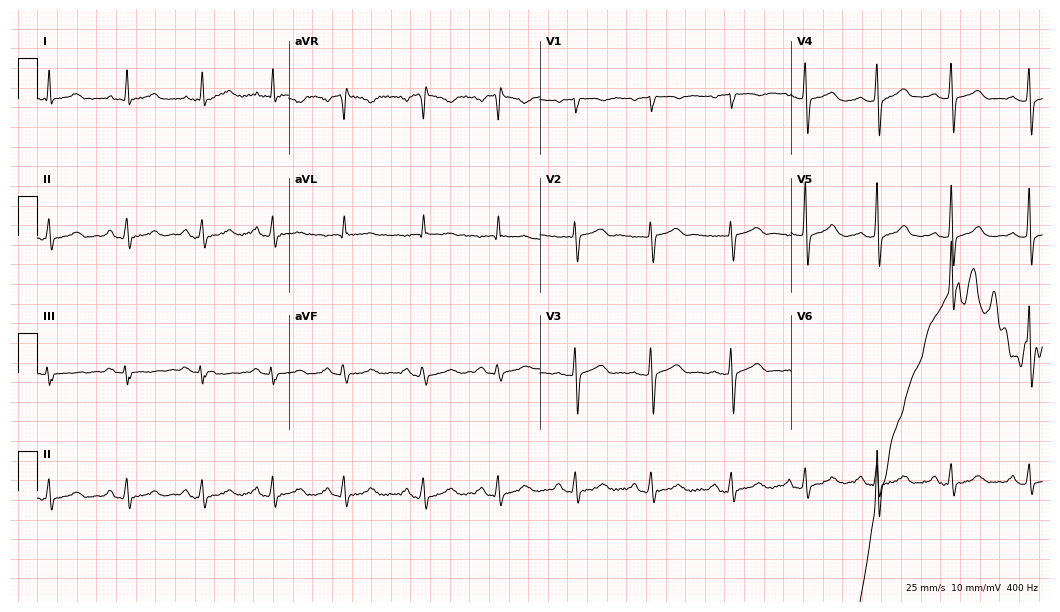
ECG — a 60-year-old female. Screened for six findings — first-degree AV block, right bundle branch block (RBBB), left bundle branch block (LBBB), sinus bradycardia, atrial fibrillation (AF), sinus tachycardia — none is recorded.